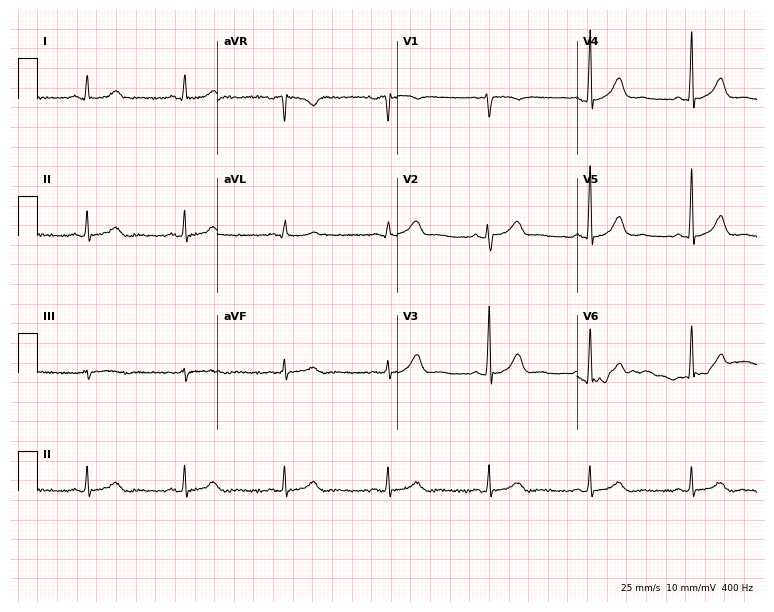
Electrocardiogram, a male patient, 60 years old. Overall reading on record: normal ECG.